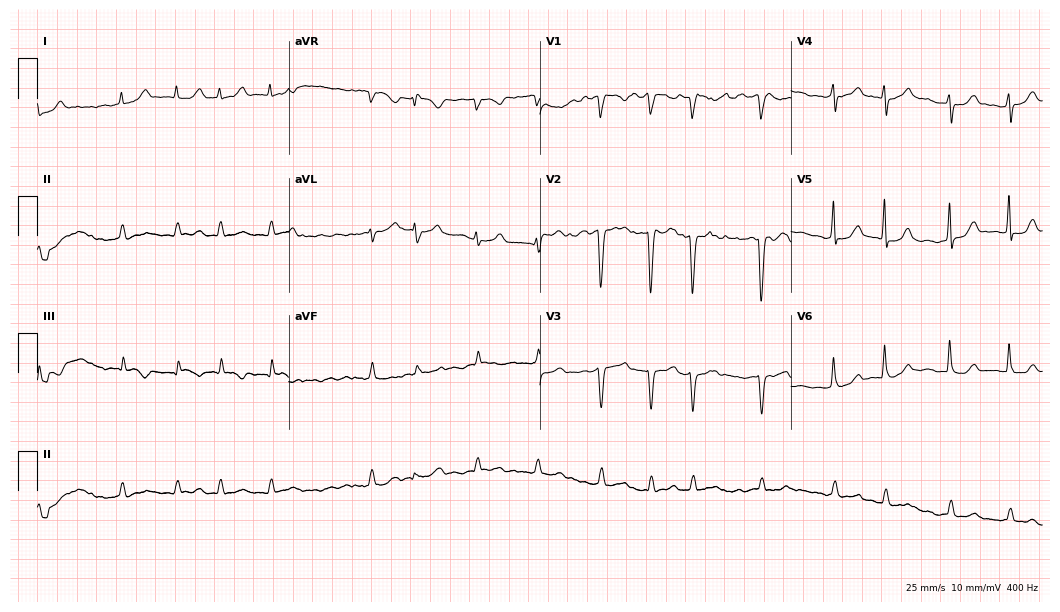
Electrocardiogram, a female patient, 88 years old. Interpretation includes atrial fibrillation.